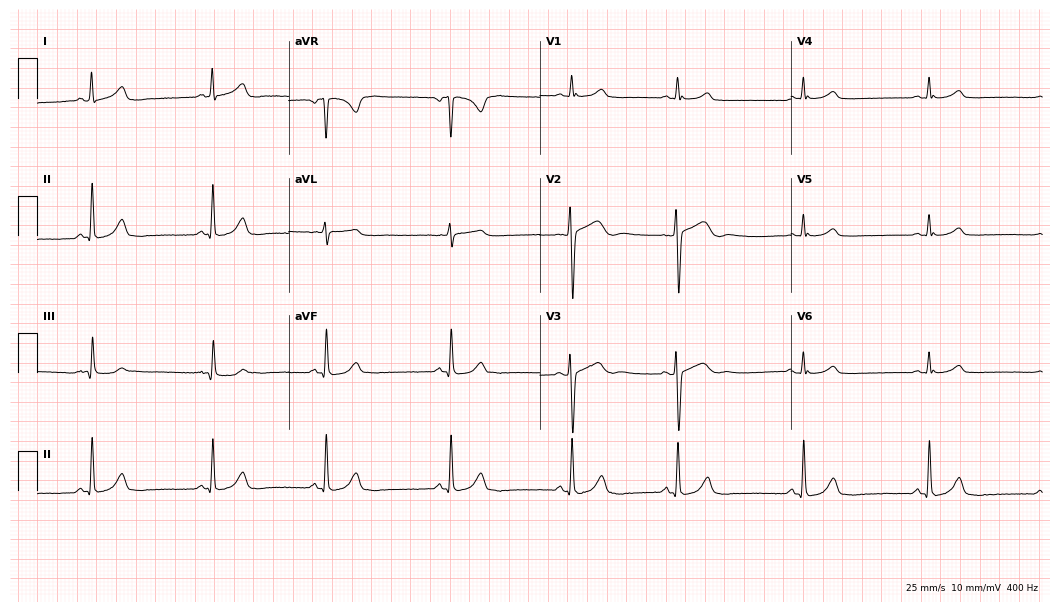
ECG (10.2-second recording at 400 Hz) — a 26-year-old woman. Findings include sinus bradycardia (a sinus rate of 50 beats per minute or less).